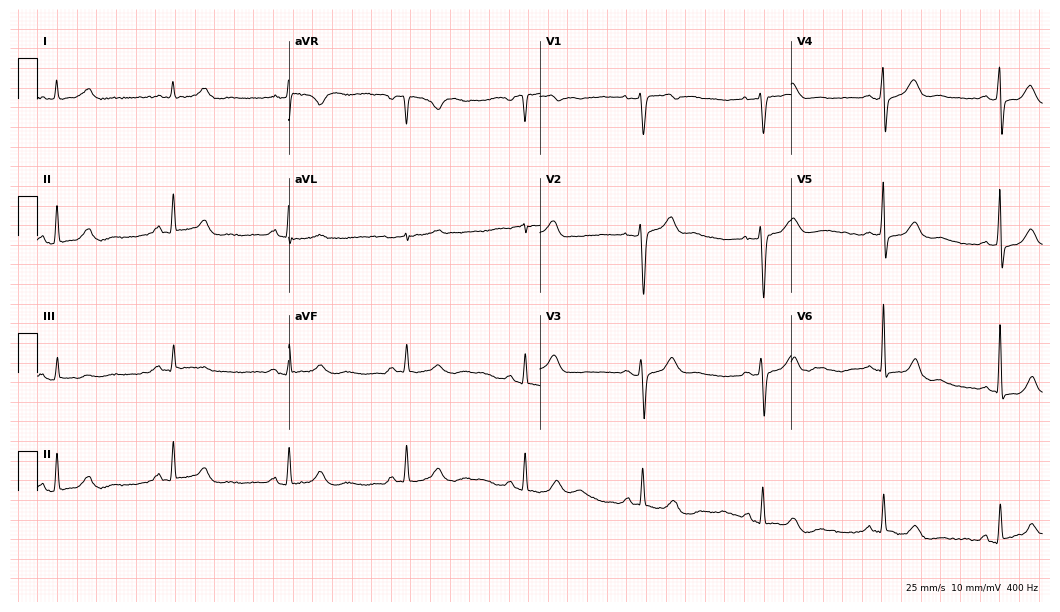
Standard 12-lead ECG recorded from a female patient, 56 years old. Read as a normal ECG.